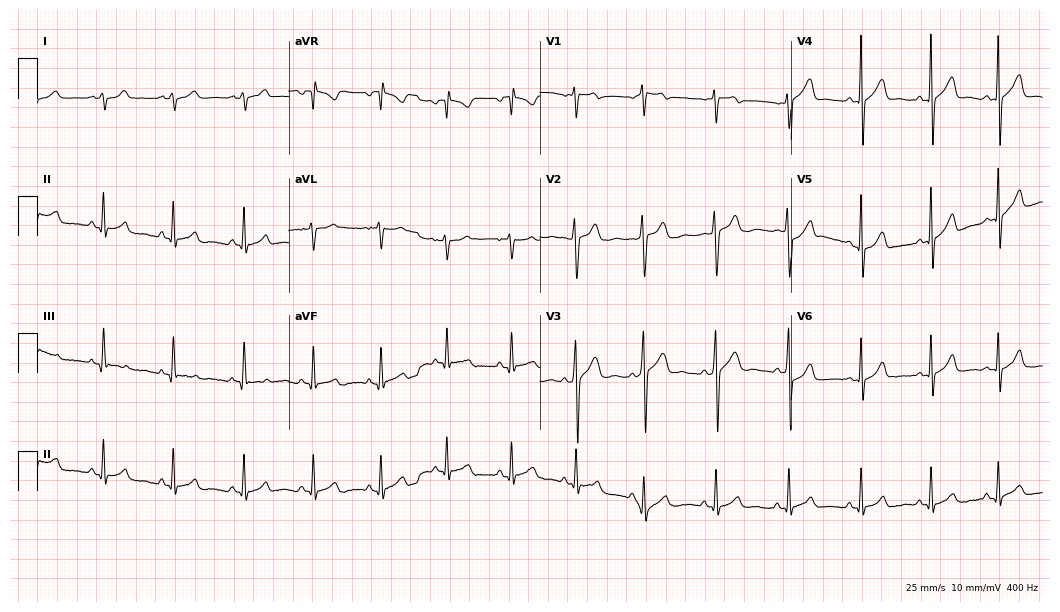
12-lead ECG (10.2-second recording at 400 Hz) from a male, 19 years old. Labelled as a normal ECG.